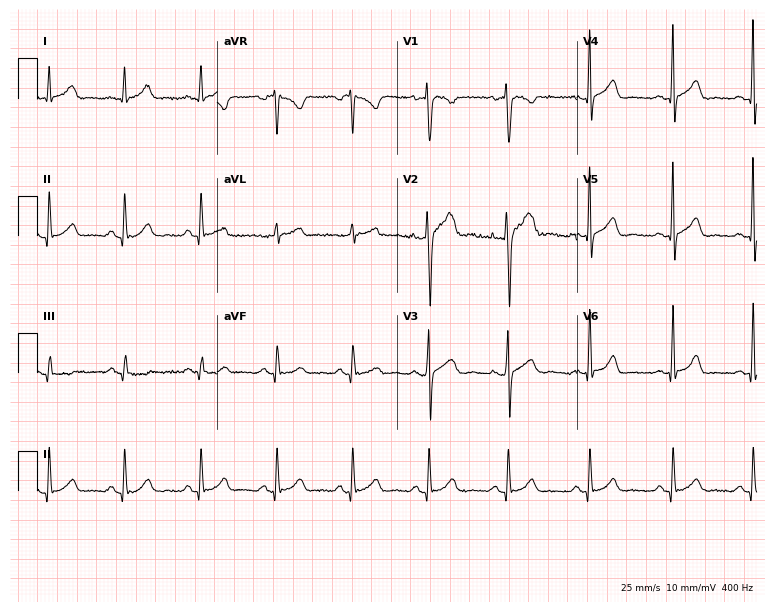
12-lead ECG from a male, 30 years old. Screened for six findings — first-degree AV block, right bundle branch block, left bundle branch block, sinus bradycardia, atrial fibrillation, sinus tachycardia — none is recorded.